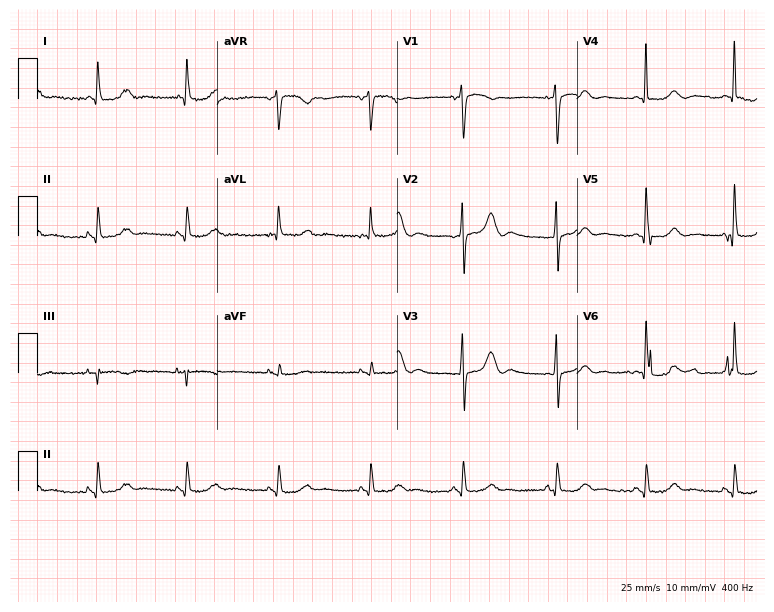
Standard 12-lead ECG recorded from an 84-year-old female (7.3-second recording at 400 Hz). Read as a normal ECG.